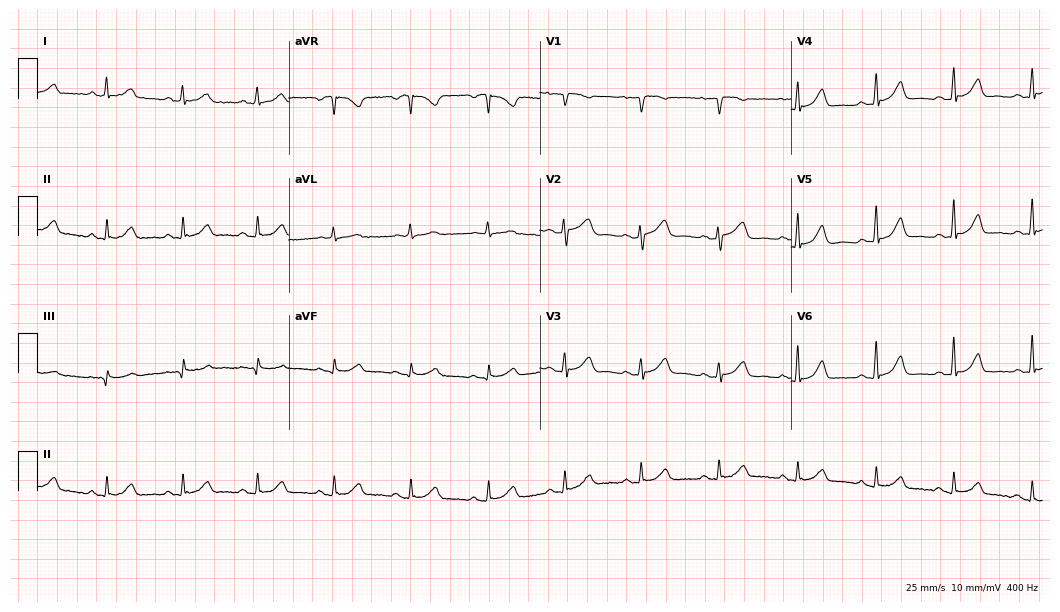
12-lead ECG from a 51-year-old woman. Screened for six findings — first-degree AV block, right bundle branch block (RBBB), left bundle branch block (LBBB), sinus bradycardia, atrial fibrillation (AF), sinus tachycardia — none is recorded. Other findings, if any, are not listed.